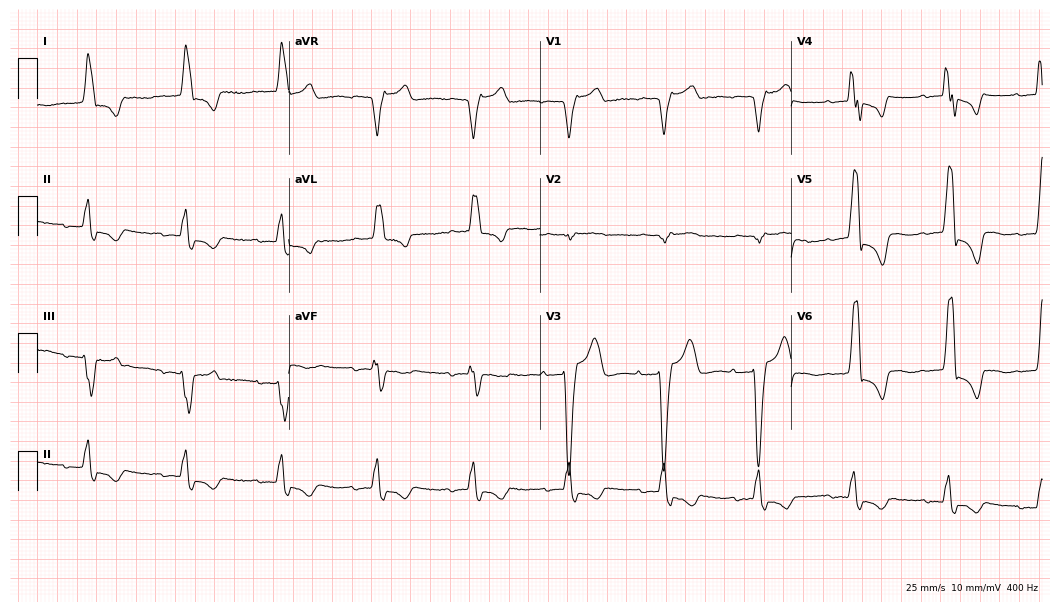
12-lead ECG from a 77-year-old female patient. Shows left bundle branch block.